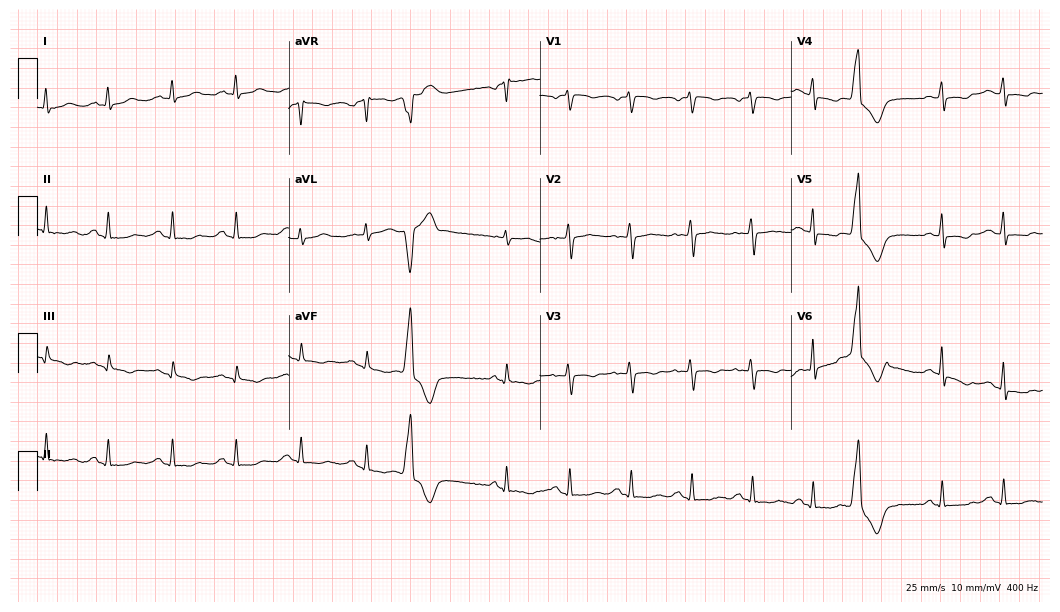
12-lead ECG from a female, 43 years old. Screened for six findings — first-degree AV block, right bundle branch block, left bundle branch block, sinus bradycardia, atrial fibrillation, sinus tachycardia — none is recorded.